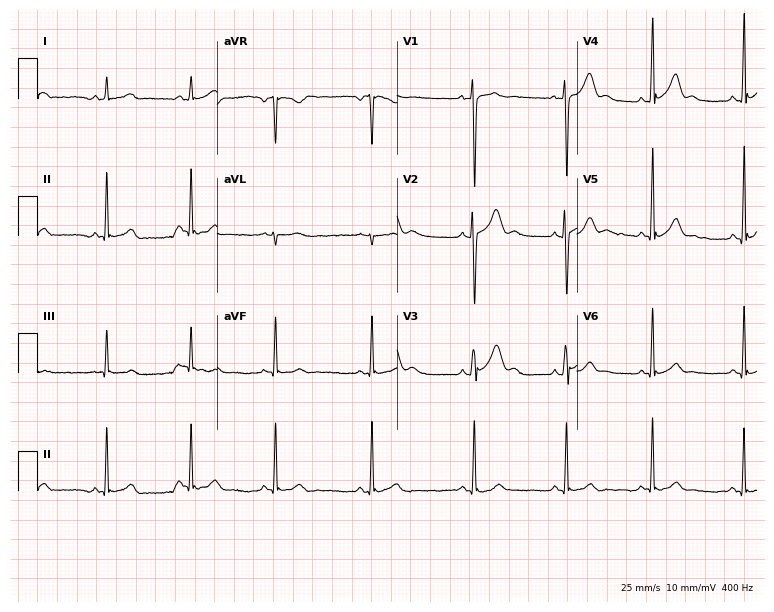
ECG — an 18-year-old male. Labelled as a normal ECG.